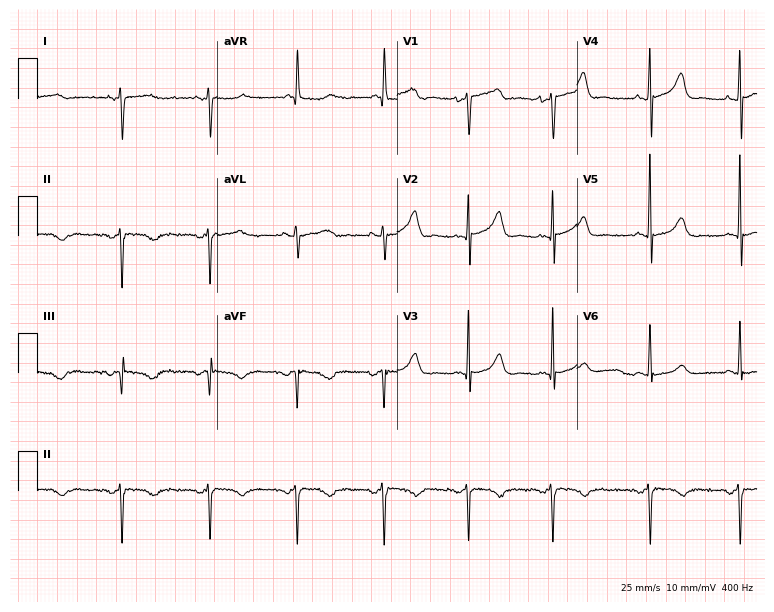
12-lead ECG (7.3-second recording at 400 Hz) from a woman, 73 years old. Screened for six findings — first-degree AV block, right bundle branch block, left bundle branch block, sinus bradycardia, atrial fibrillation, sinus tachycardia — none is recorded. Other findings, if any, are not listed.